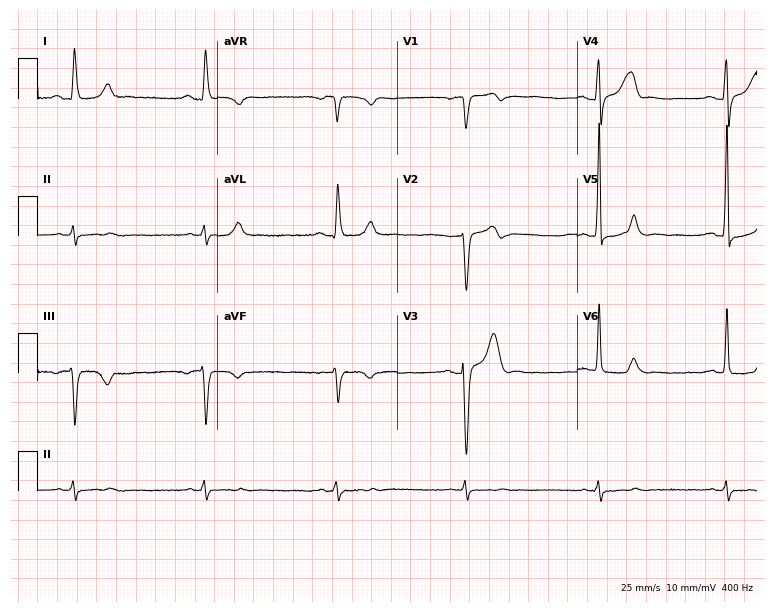
12-lead ECG from a male patient, 82 years old. Findings include sinus bradycardia (a sinus rate of 50 beats per minute or less).